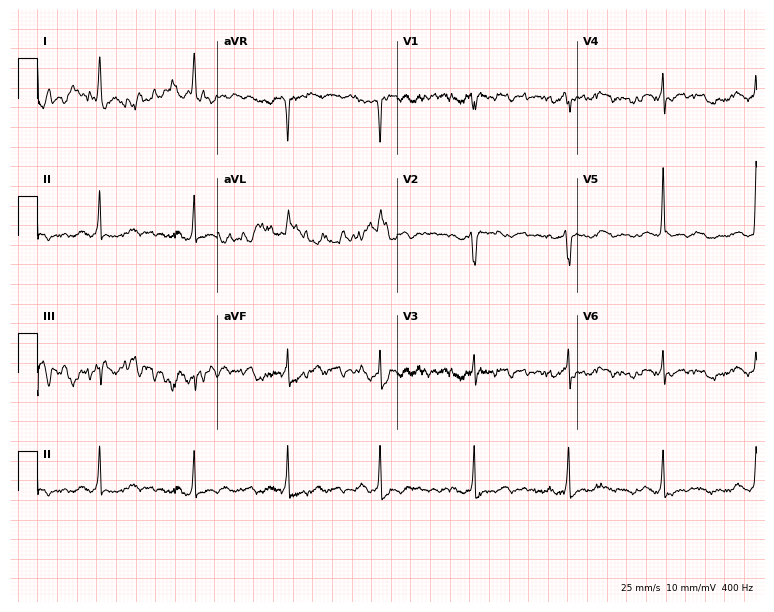
12-lead ECG from an 83-year-old female patient (7.3-second recording at 400 Hz). No first-degree AV block, right bundle branch block, left bundle branch block, sinus bradycardia, atrial fibrillation or sinus tachycardia recorded for this tracing.